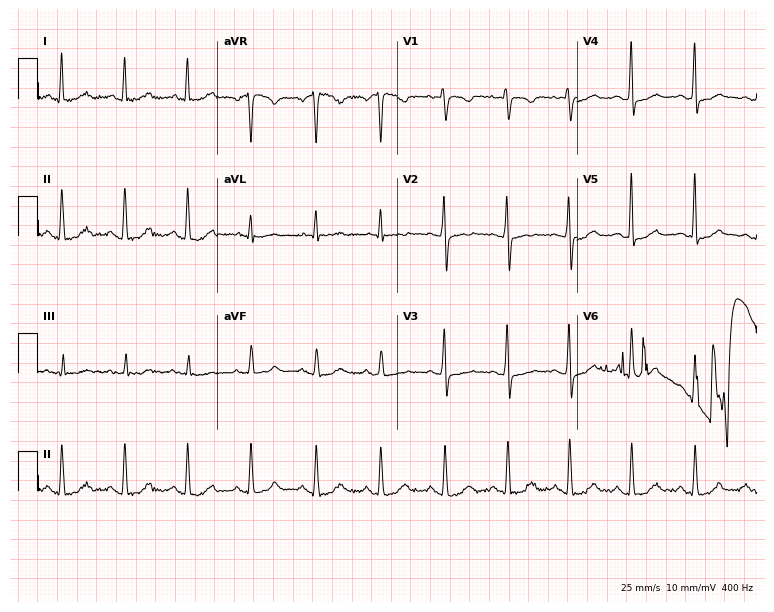
Standard 12-lead ECG recorded from a woman, 51 years old. None of these six findings is recorded: first-degree AV block, right bundle branch block (RBBB), left bundle branch block (LBBB), sinus bradycardia, atrial fibrillation (AF), sinus tachycardia. Only these six findings were labelled.